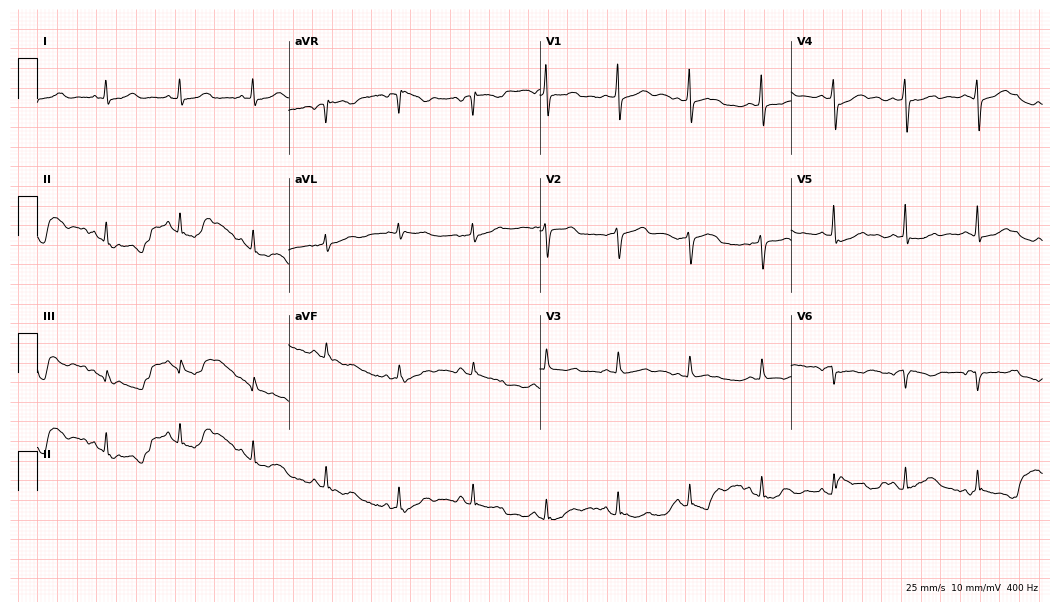
12-lead ECG from a 56-year-old woman. Screened for six findings — first-degree AV block, right bundle branch block, left bundle branch block, sinus bradycardia, atrial fibrillation, sinus tachycardia — none is recorded. Only these six findings were labelled.